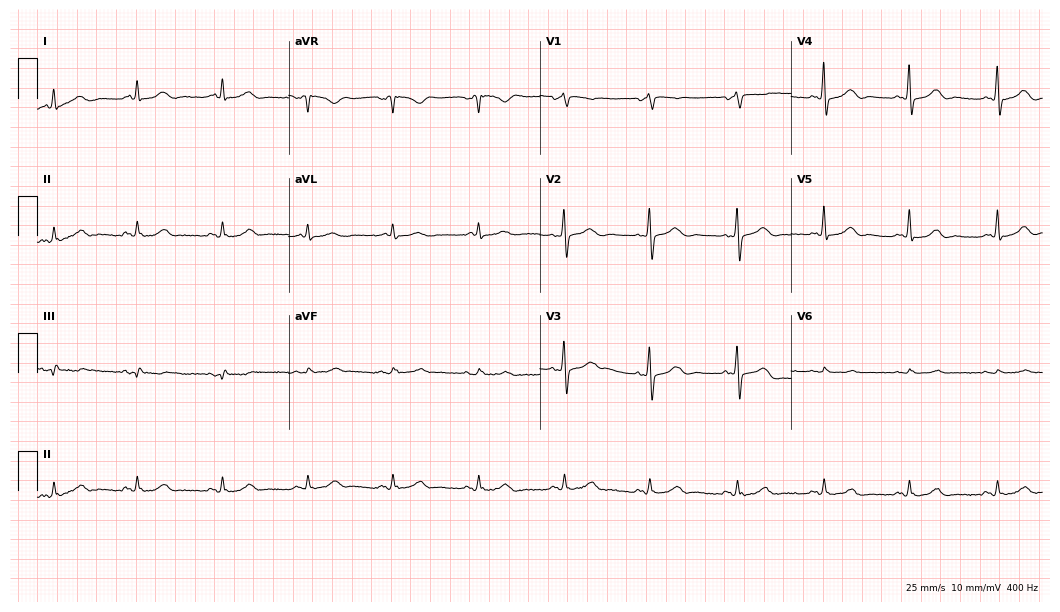
ECG (10.2-second recording at 400 Hz) — a 79-year-old female. Labelled as a normal ECG.